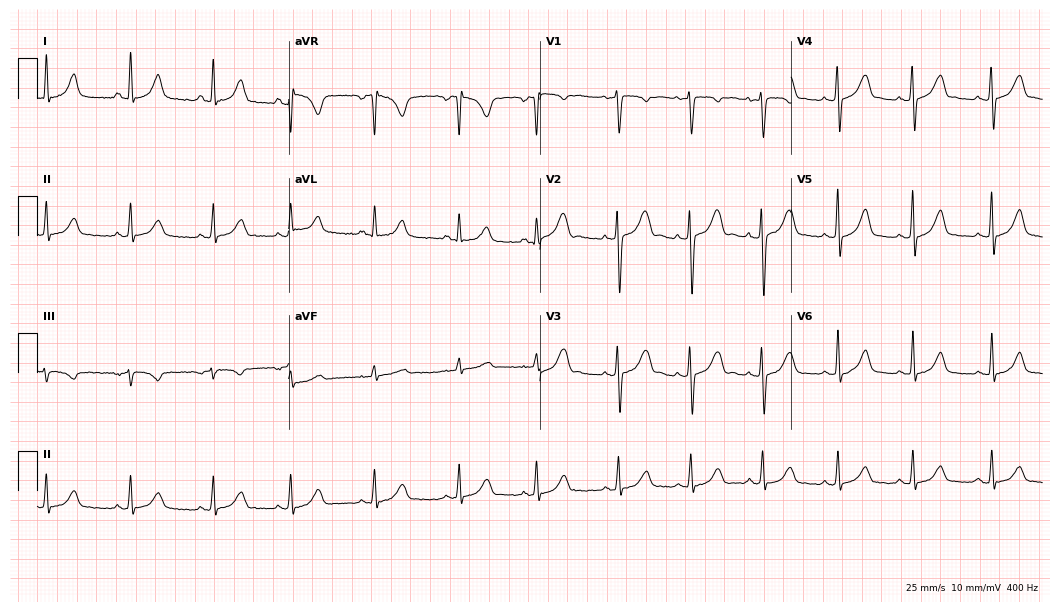
Resting 12-lead electrocardiogram. Patient: a female, 35 years old. Read as a normal ECG.